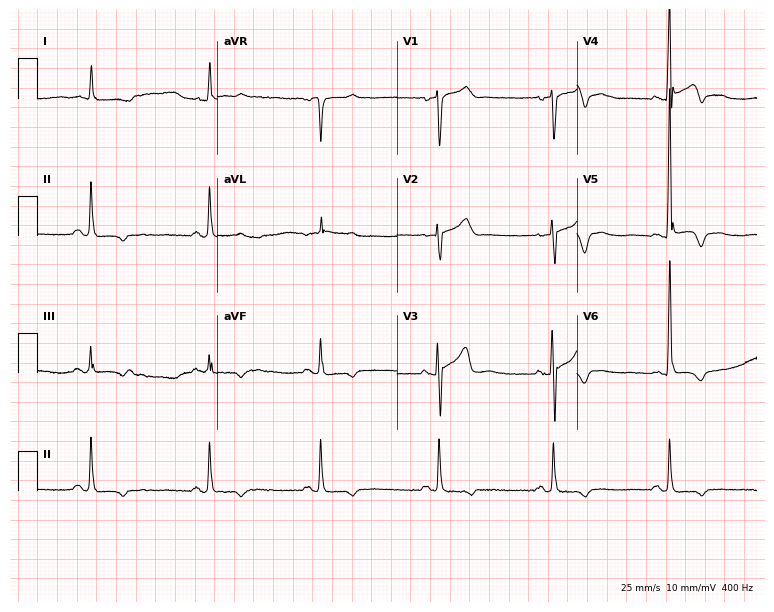
ECG — a 62-year-old male patient. Findings include sinus bradycardia (a sinus rate of 50 beats per minute or less).